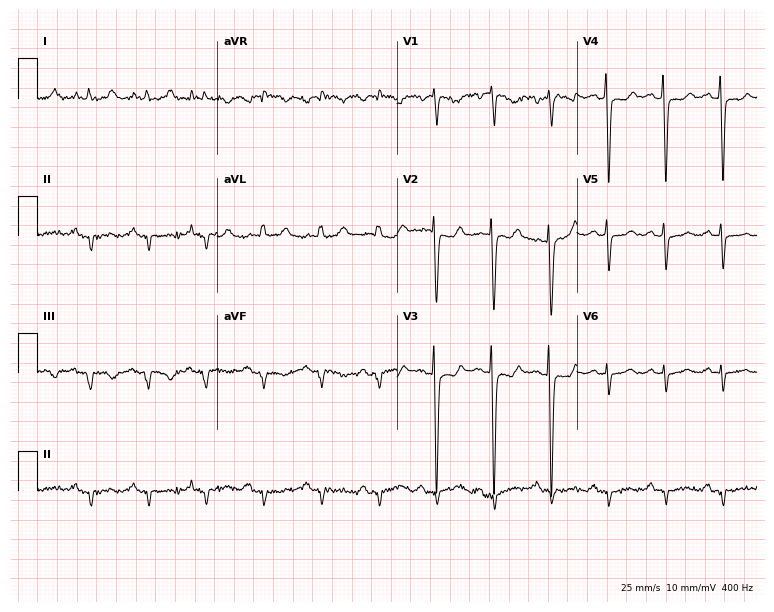
12-lead ECG from a male, 80 years old. No first-degree AV block, right bundle branch block (RBBB), left bundle branch block (LBBB), sinus bradycardia, atrial fibrillation (AF) or sinus tachycardia recorded for this tracing.